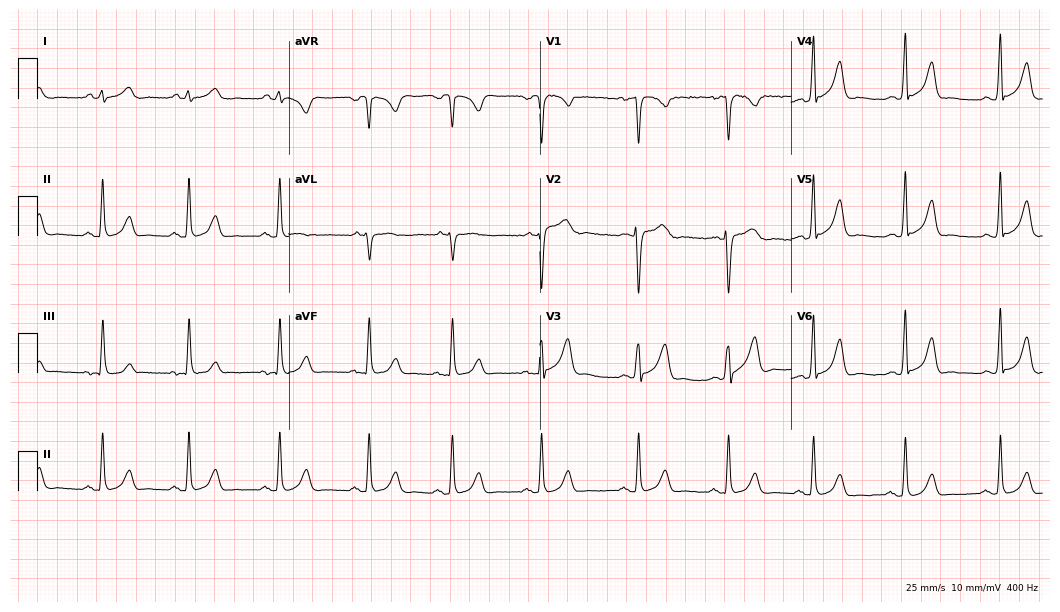
Standard 12-lead ECG recorded from a female, 26 years old. Read as a normal ECG.